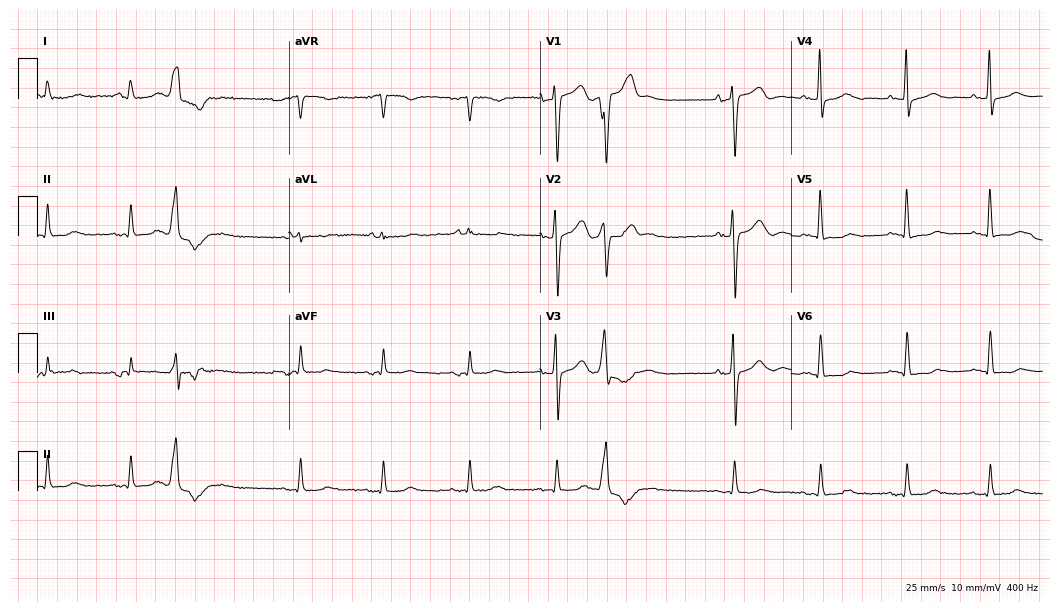
ECG — a 62-year-old man. Screened for six findings — first-degree AV block, right bundle branch block, left bundle branch block, sinus bradycardia, atrial fibrillation, sinus tachycardia — none is recorded.